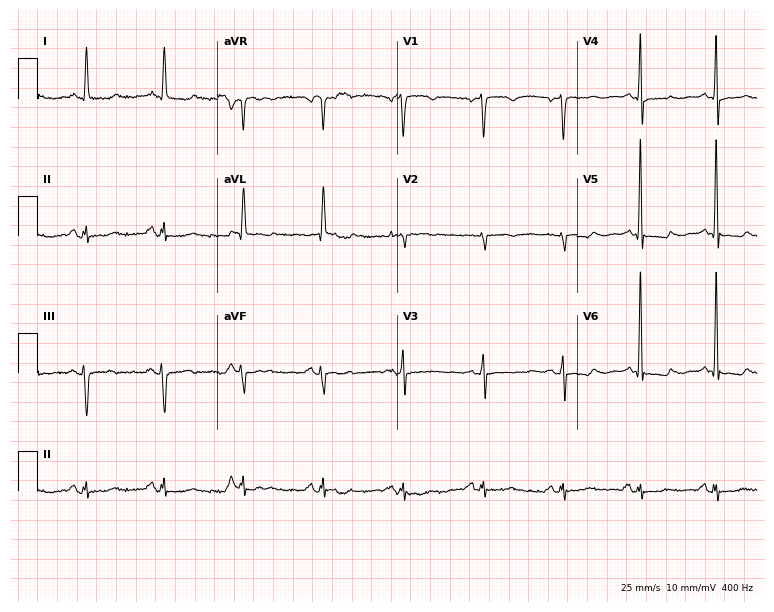
12-lead ECG from a female, 65 years old. No first-degree AV block, right bundle branch block (RBBB), left bundle branch block (LBBB), sinus bradycardia, atrial fibrillation (AF) or sinus tachycardia recorded for this tracing. Other findings, if any, are not listed.